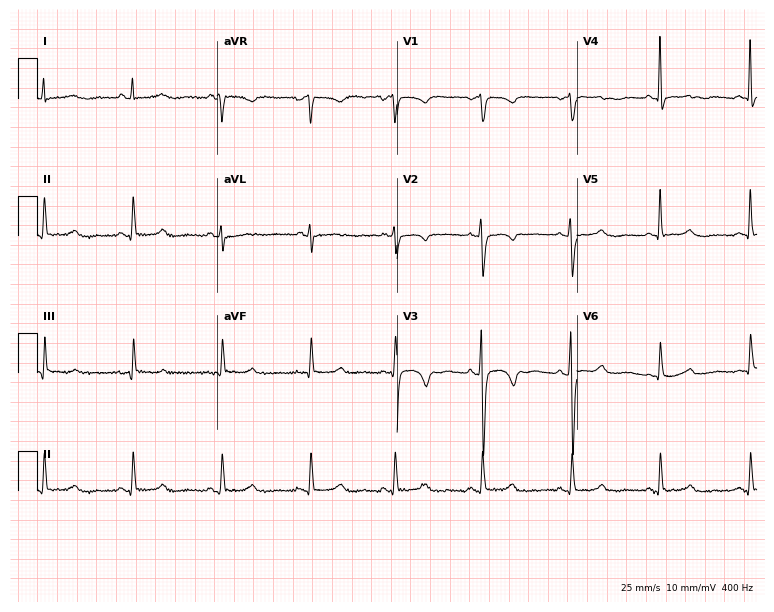
12-lead ECG from a woman, 42 years old (7.3-second recording at 400 Hz). No first-degree AV block, right bundle branch block, left bundle branch block, sinus bradycardia, atrial fibrillation or sinus tachycardia recorded for this tracing. Only these six findings were labelled.